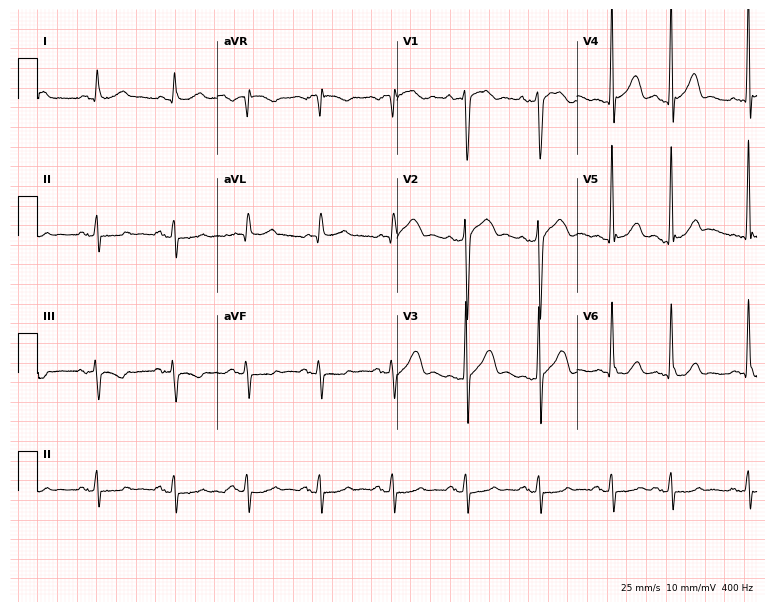
Resting 12-lead electrocardiogram. Patient: a male, 61 years old. Read as a normal ECG.